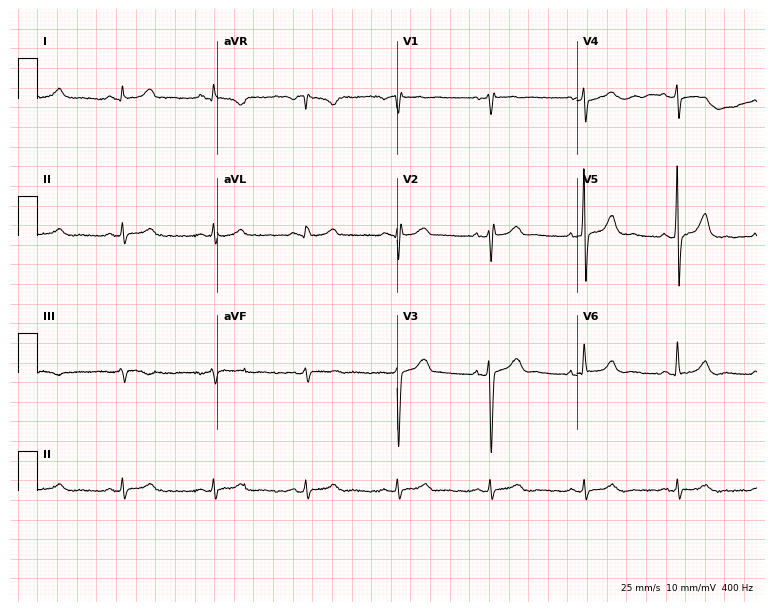
ECG — a male, 52 years old. Screened for six findings — first-degree AV block, right bundle branch block, left bundle branch block, sinus bradycardia, atrial fibrillation, sinus tachycardia — none is recorded.